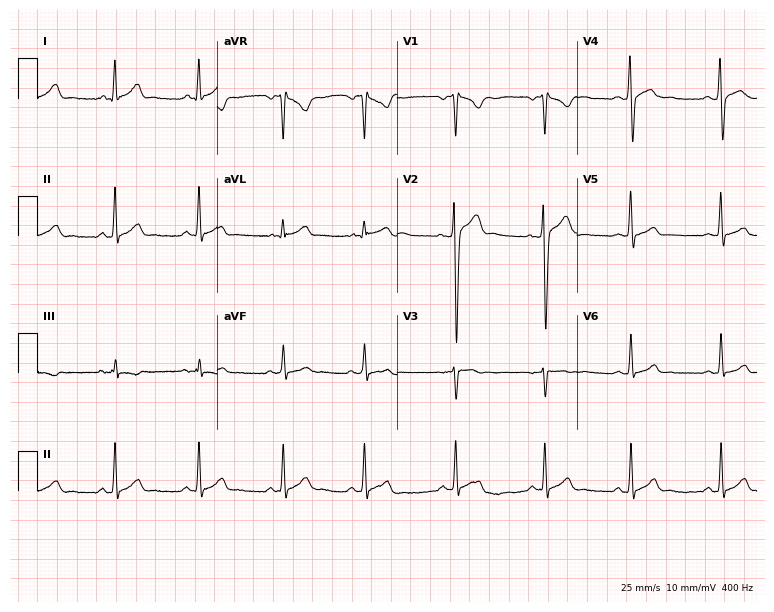
Standard 12-lead ECG recorded from a 19-year-old man. None of these six findings is recorded: first-degree AV block, right bundle branch block, left bundle branch block, sinus bradycardia, atrial fibrillation, sinus tachycardia.